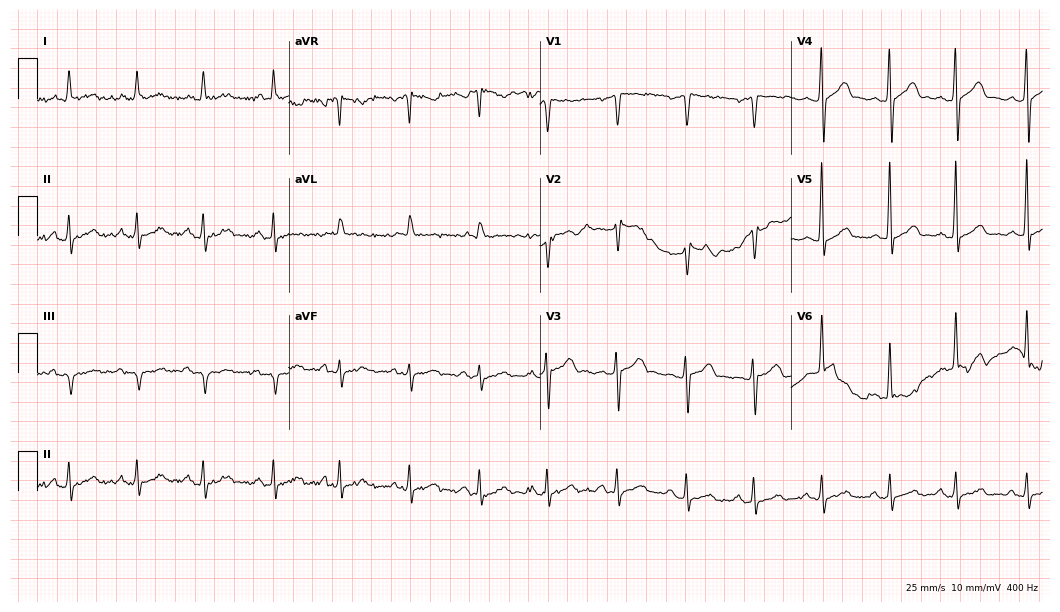
12-lead ECG from a 68-year-old man (10.2-second recording at 400 Hz). No first-degree AV block, right bundle branch block, left bundle branch block, sinus bradycardia, atrial fibrillation or sinus tachycardia recorded for this tracing.